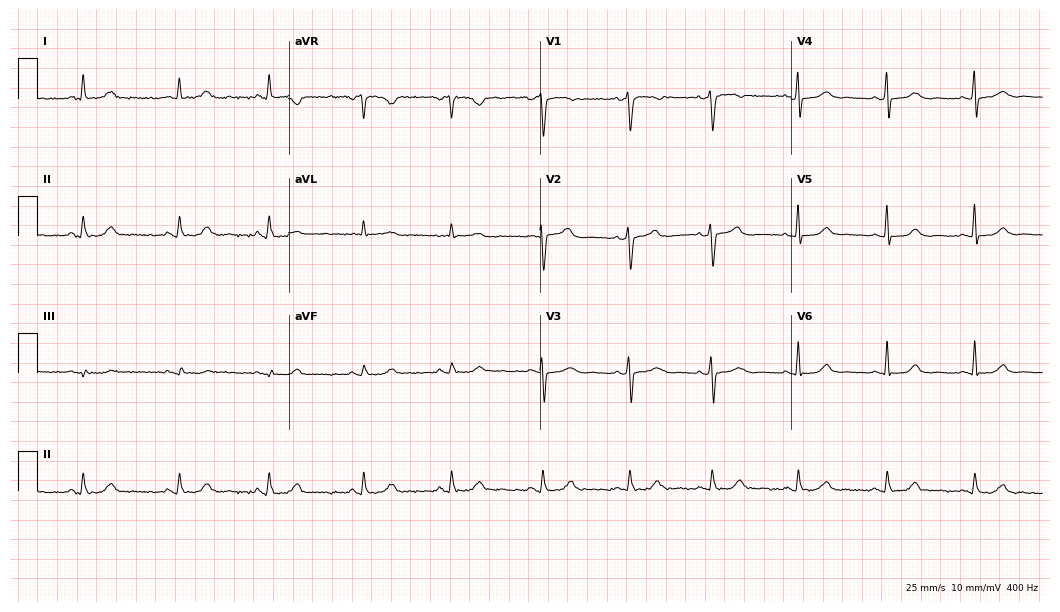
Standard 12-lead ECG recorded from a 48-year-old female patient. Read as a normal ECG.